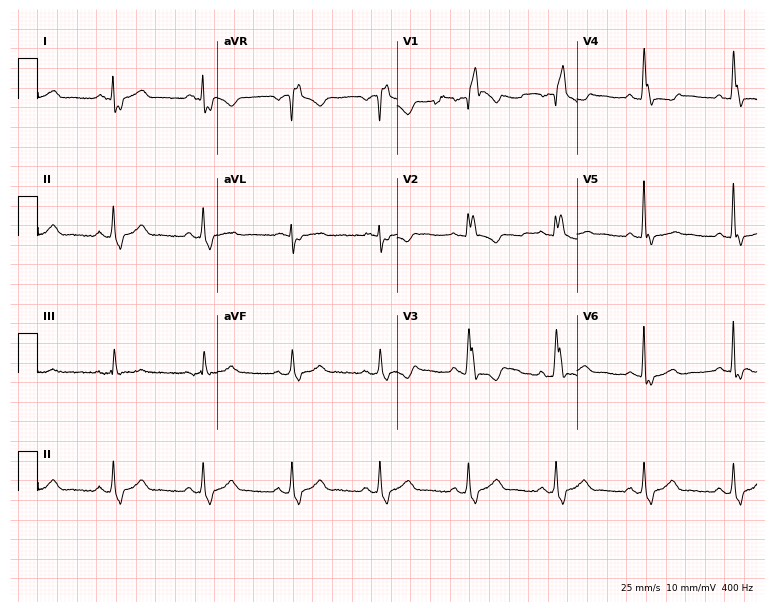
Electrocardiogram, a 69-year-old male. Interpretation includes right bundle branch block.